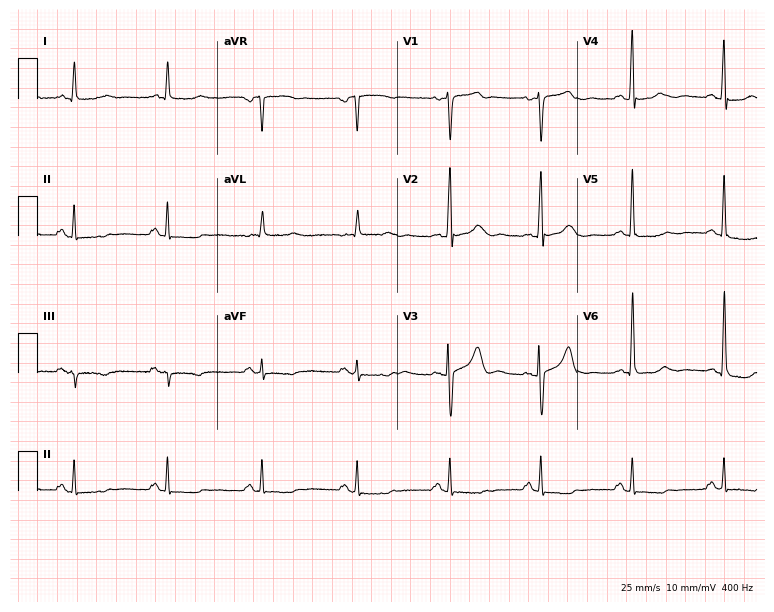
Electrocardiogram, a 63-year-old male. Of the six screened findings (first-degree AV block, right bundle branch block, left bundle branch block, sinus bradycardia, atrial fibrillation, sinus tachycardia), none is recorded. Findings outside these six are not listed.